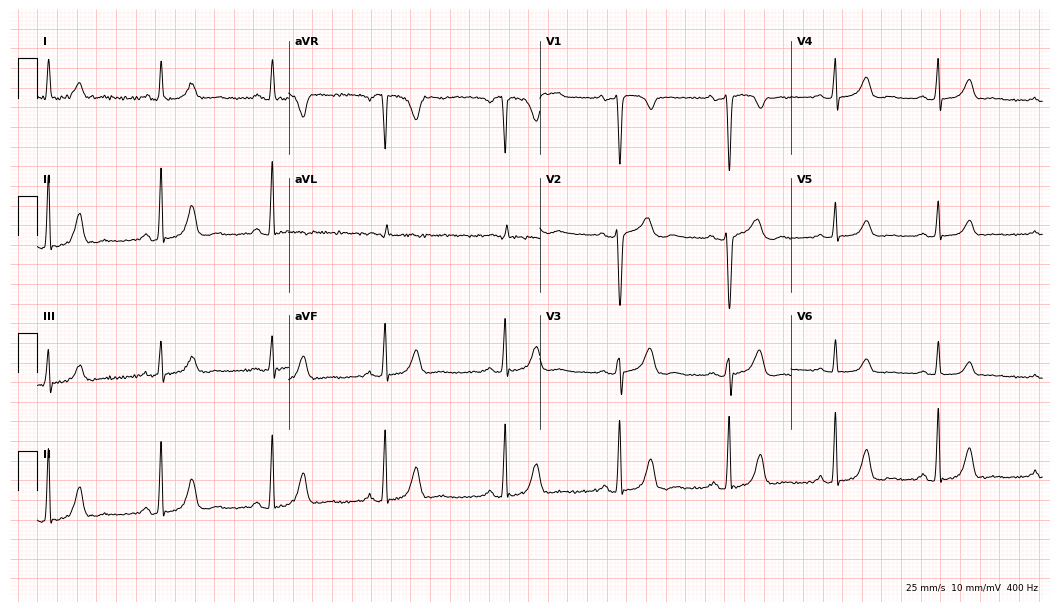
Resting 12-lead electrocardiogram. Patient: a female, 49 years old. Read as a normal ECG.